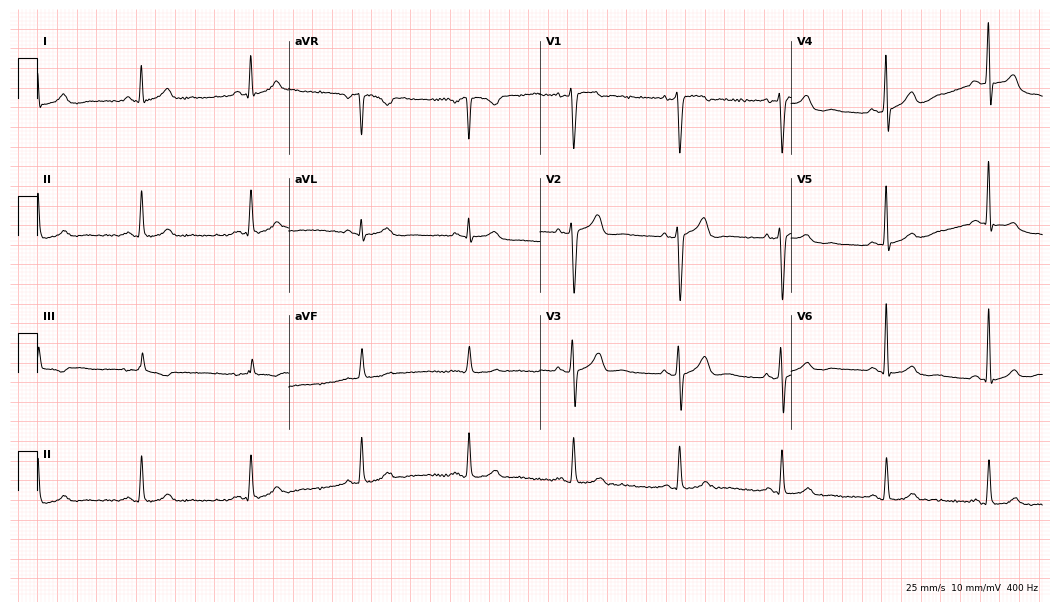
Standard 12-lead ECG recorded from a male patient, 61 years old (10.2-second recording at 400 Hz). None of these six findings is recorded: first-degree AV block, right bundle branch block (RBBB), left bundle branch block (LBBB), sinus bradycardia, atrial fibrillation (AF), sinus tachycardia. Other findings, if any, are not listed.